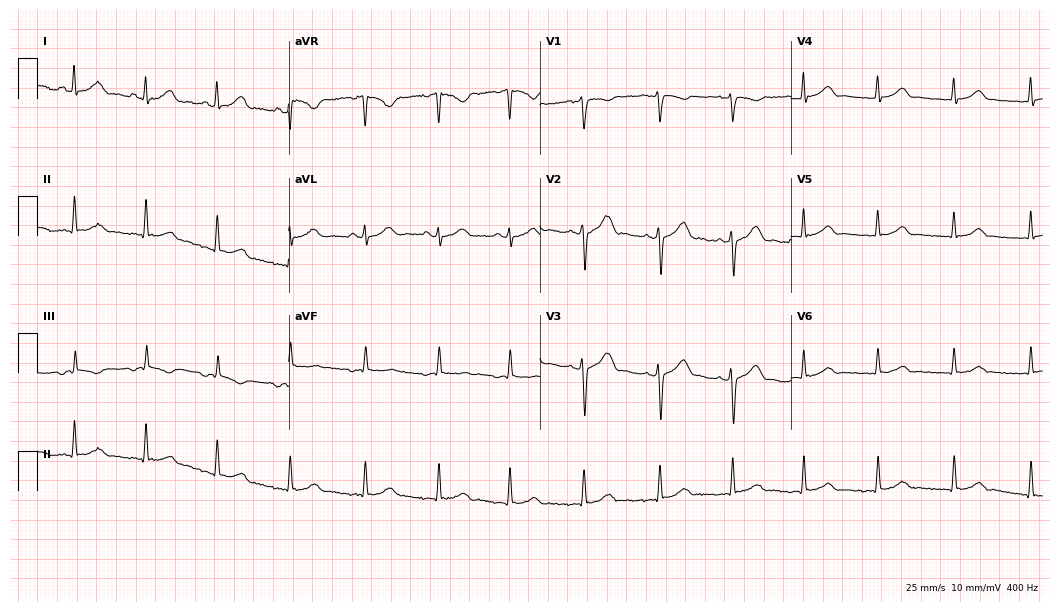
Electrocardiogram (10.2-second recording at 400 Hz), a female, 23 years old. Overall reading on record: normal ECG.